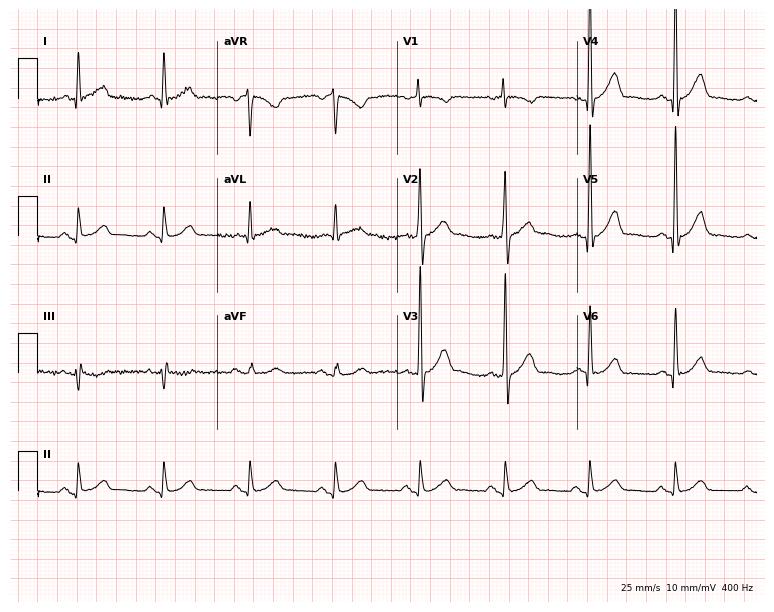
12-lead ECG from a 66-year-old man. No first-degree AV block, right bundle branch block (RBBB), left bundle branch block (LBBB), sinus bradycardia, atrial fibrillation (AF) or sinus tachycardia recorded for this tracing.